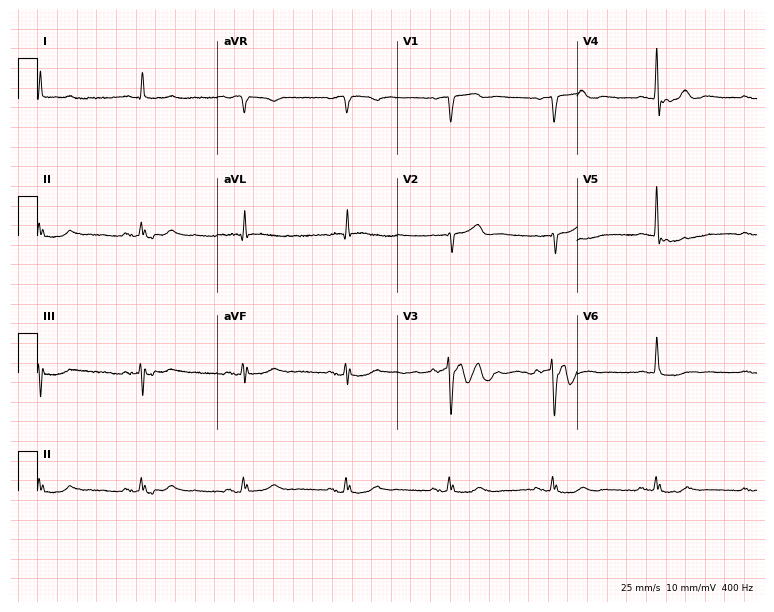
Electrocardiogram, a male, 82 years old. Overall reading on record: normal ECG.